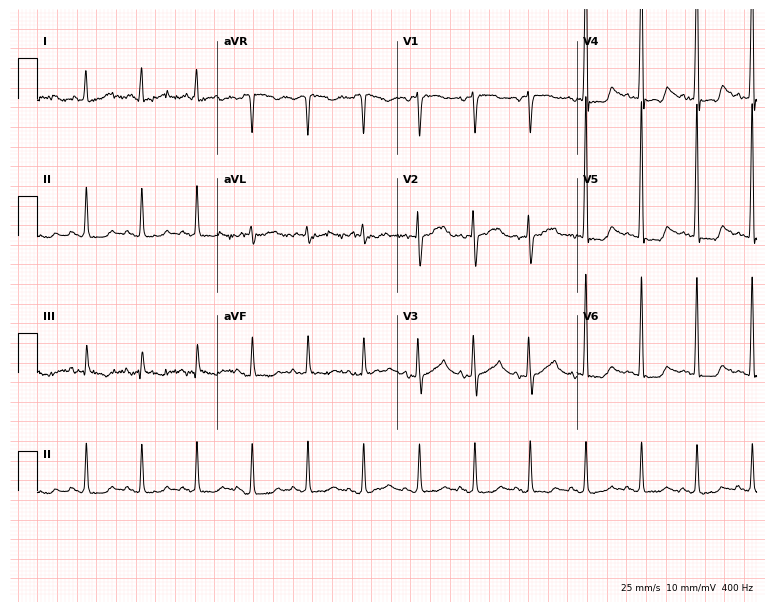
12-lead ECG from a male patient, 65 years old (7.3-second recording at 400 Hz). Shows sinus tachycardia (a sinus rate of 100 beats per minute or more).